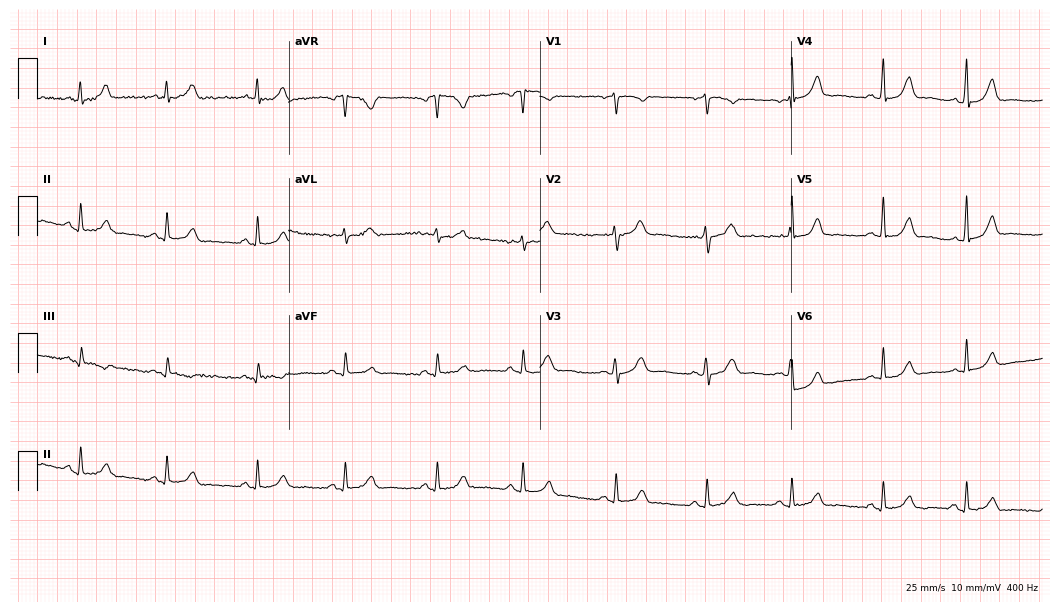
Resting 12-lead electrocardiogram (10.2-second recording at 400 Hz). Patient: a 32-year-old woman. Read as a normal ECG.